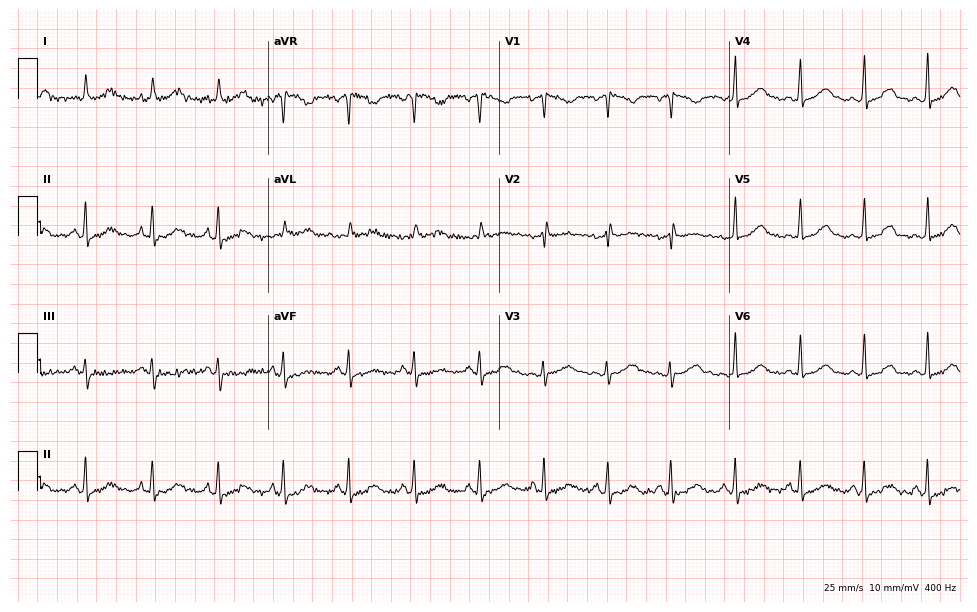
12-lead ECG from a woman, 25 years old. Labelled as a normal ECG.